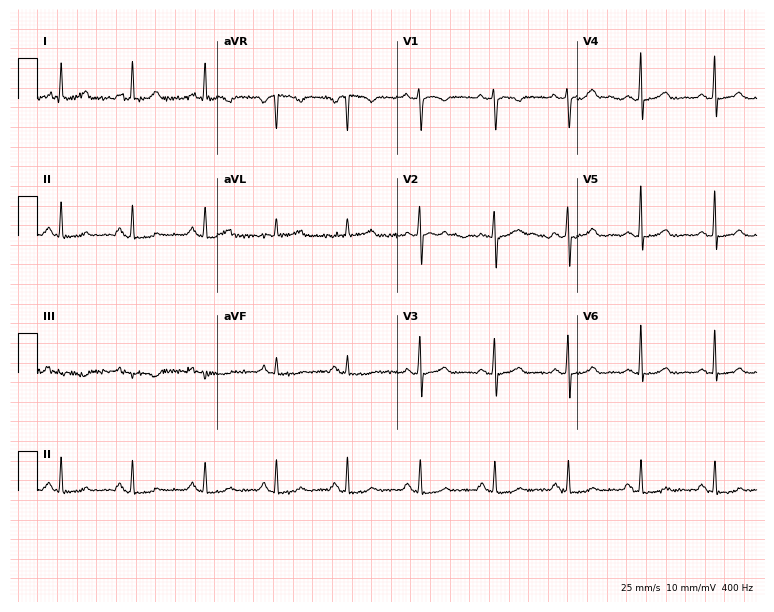
12-lead ECG from a 42-year-old female patient. Recorded interpretation: within normal limits.